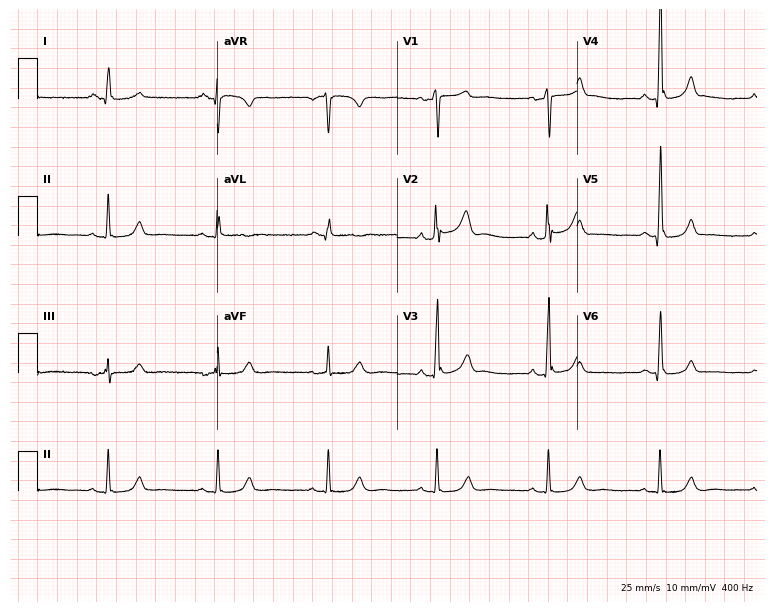
Resting 12-lead electrocardiogram. Patient: a male, 50 years old. None of these six findings is recorded: first-degree AV block, right bundle branch block, left bundle branch block, sinus bradycardia, atrial fibrillation, sinus tachycardia.